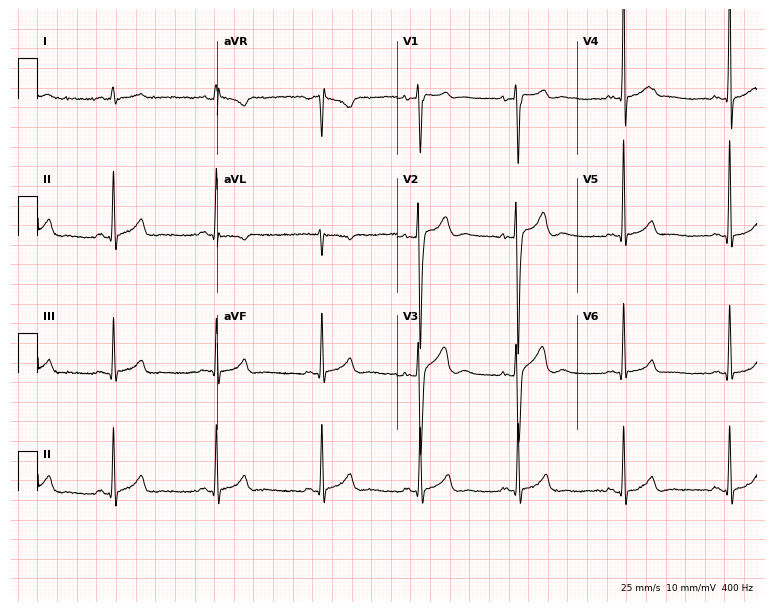
12-lead ECG from a male patient, 17 years old. No first-degree AV block, right bundle branch block (RBBB), left bundle branch block (LBBB), sinus bradycardia, atrial fibrillation (AF) or sinus tachycardia recorded for this tracing. Other findings, if any, are not listed.